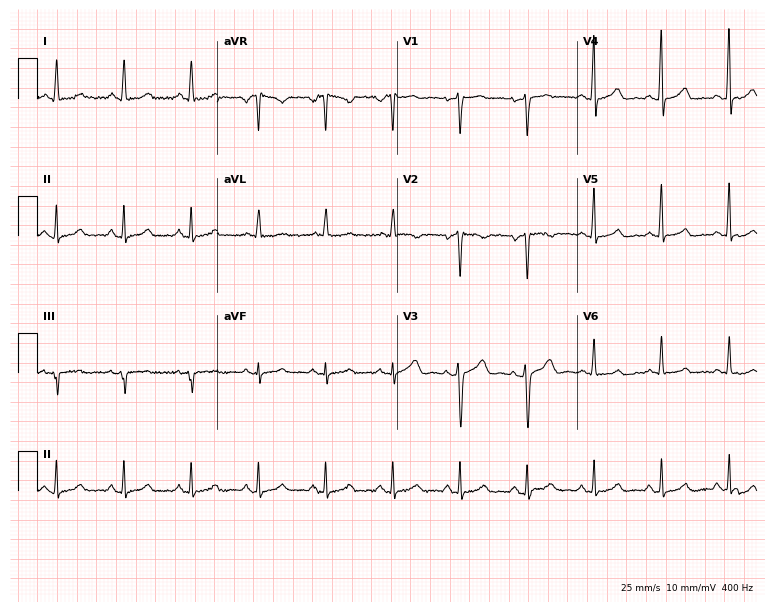
Electrocardiogram (7.3-second recording at 400 Hz), a 50-year-old female patient. Of the six screened findings (first-degree AV block, right bundle branch block (RBBB), left bundle branch block (LBBB), sinus bradycardia, atrial fibrillation (AF), sinus tachycardia), none is recorded. Findings outside these six are not listed.